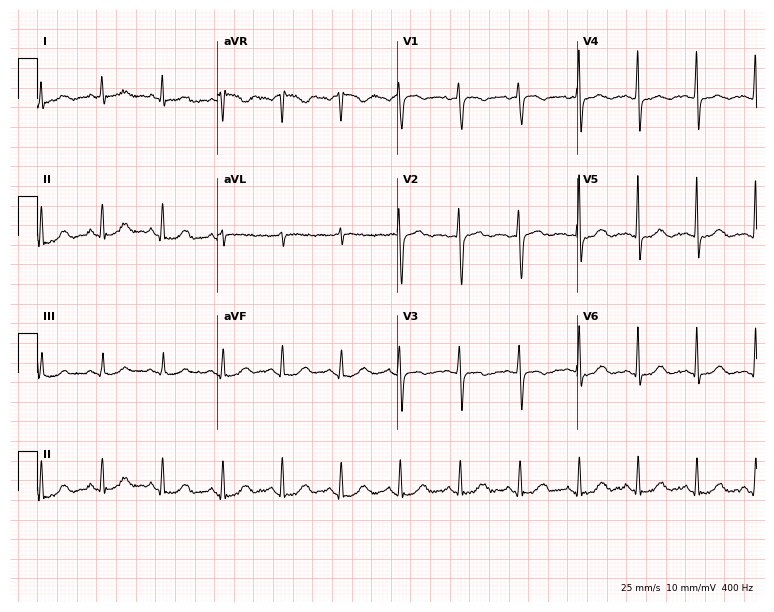
Resting 12-lead electrocardiogram (7.3-second recording at 400 Hz). Patient: a 59-year-old female. Read as a normal ECG.